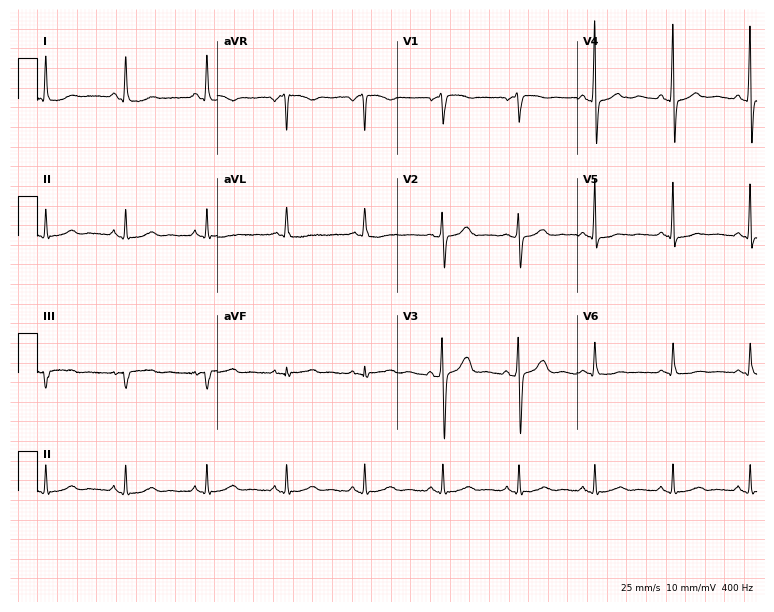
Resting 12-lead electrocardiogram. Patient: a female, 51 years old. Read as a normal ECG.